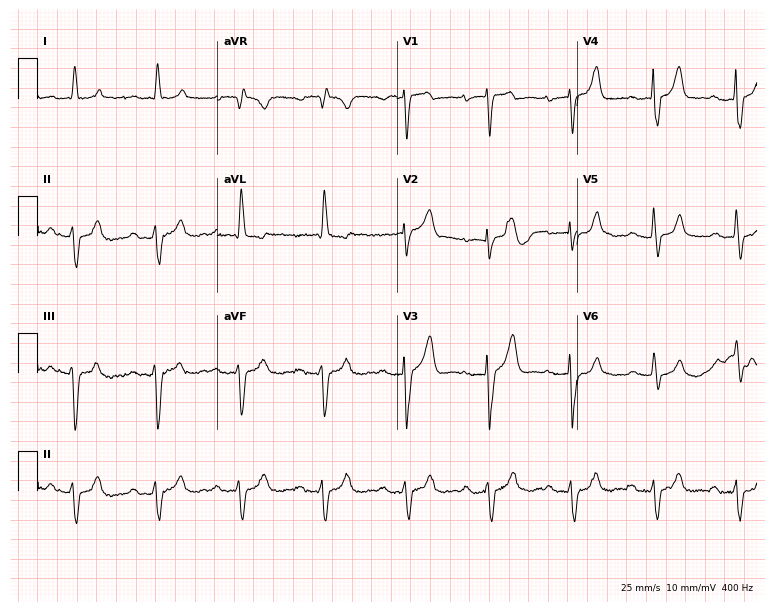
12-lead ECG from a 77-year-old male. No first-degree AV block, right bundle branch block, left bundle branch block, sinus bradycardia, atrial fibrillation or sinus tachycardia recorded for this tracing. Only these six findings were labelled.